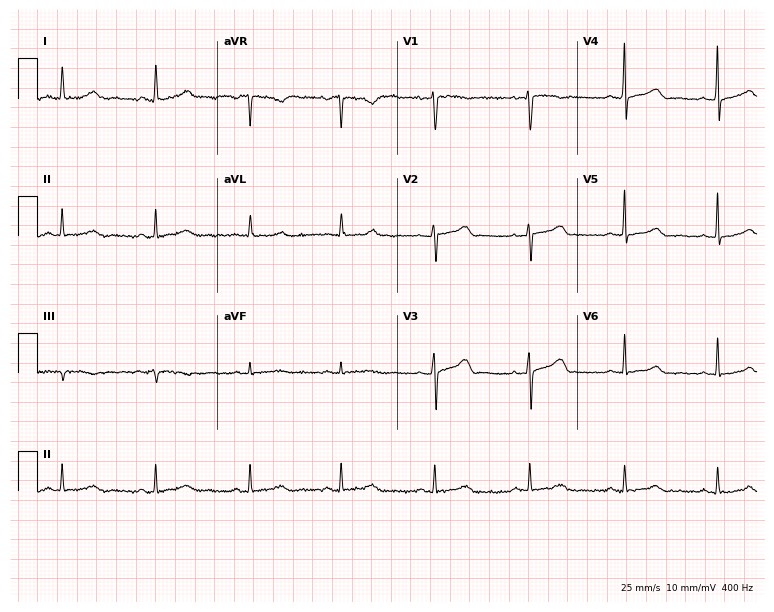
Standard 12-lead ECG recorded from a 40-year-old female. Read as a normal ECG.